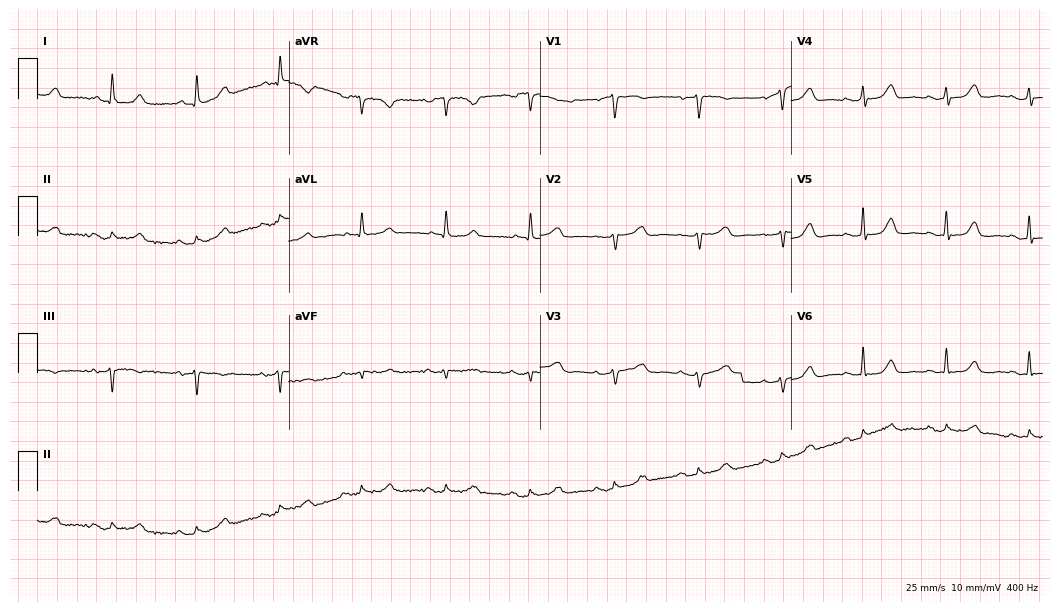
12-lead ECG from a female, 82 years old. Labelled as a normal ECG.